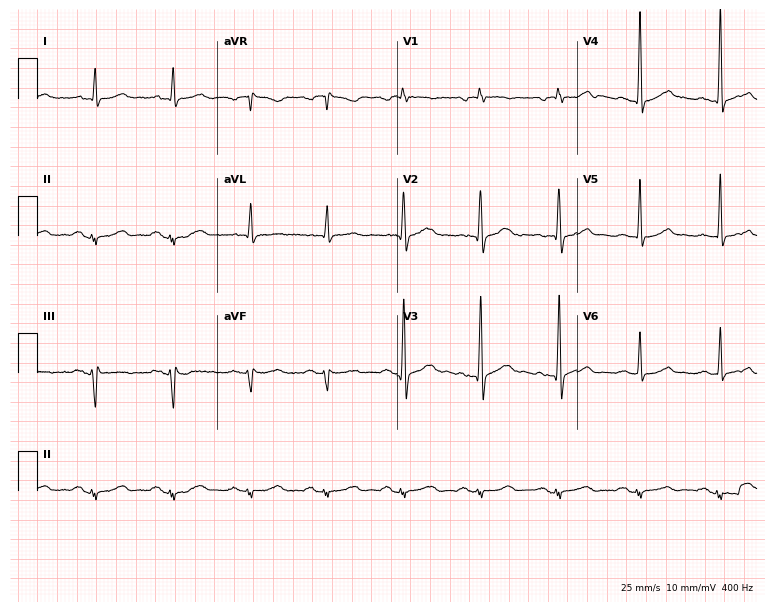
Resting 12-lead electrocardiogram (7.3-second recording at 400 Hz). Patient: a 57-year-old man. Read as a normal ECG.